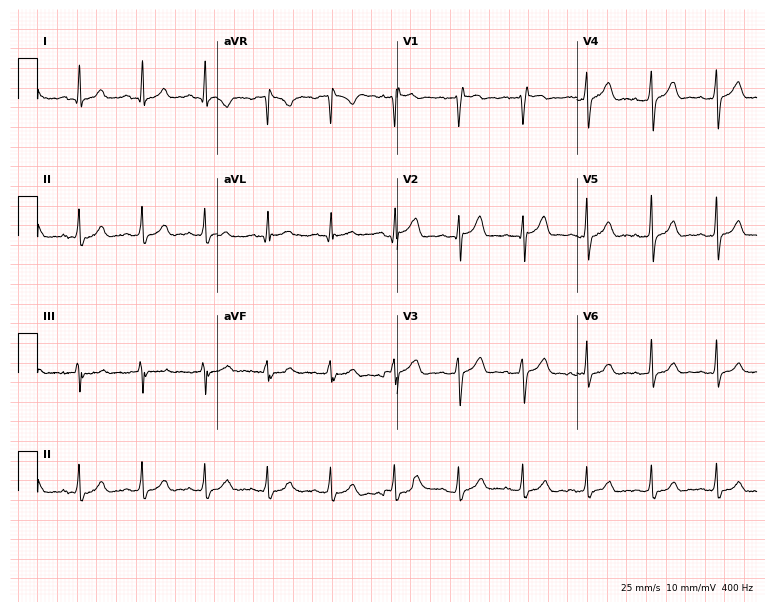
Resting 12-lead electrocardiogram (7.3-second recording at 400 Hz). Patient: a 40-year-old male. Read as a normal ECG.